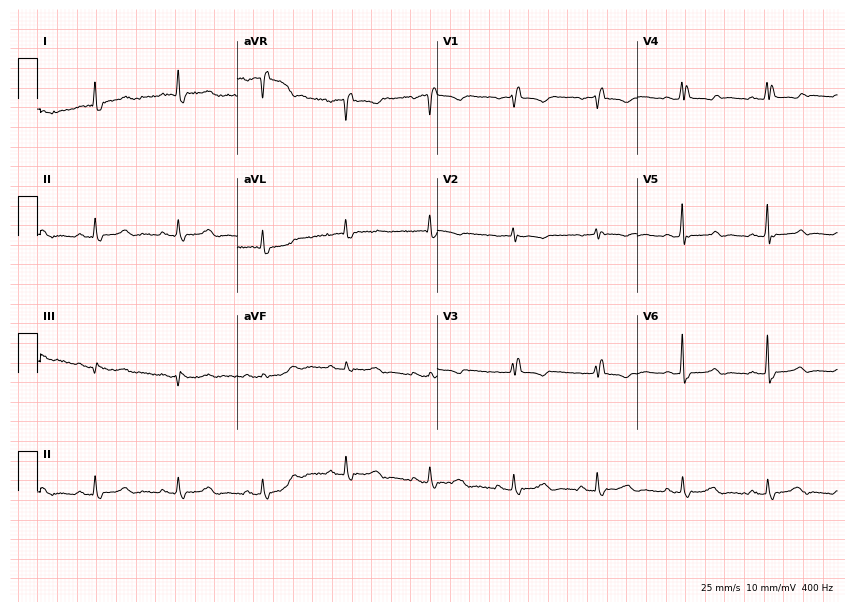
Electrocardiogram (8.2-second recording at 400 Hz), a female, 78 years old. Of the six screened findings (first-degree AV block, right bundle branch block, left bundle branch block, sinus bradycardia, atrial fibrillation, sinus tachycardia), none is recorded. Only these six findings were labelled.